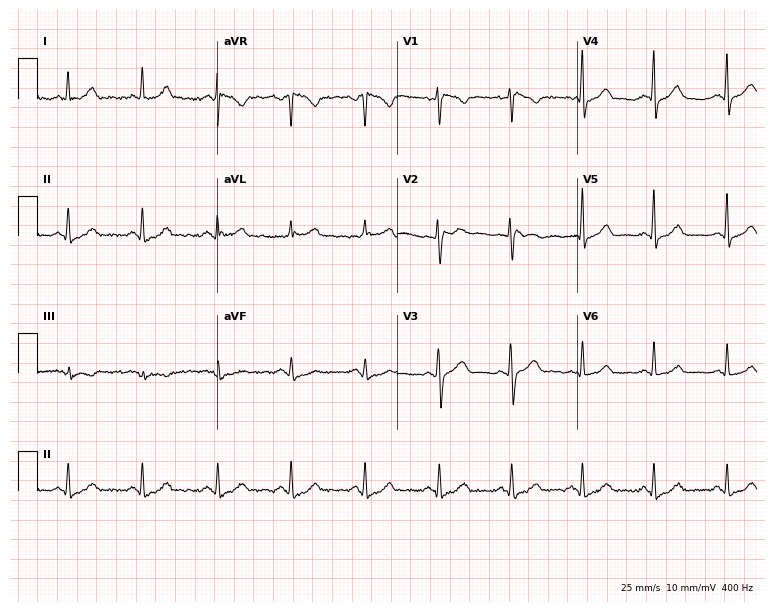
12-lead ECG from a 34-year-old woman (7.3-second recording at 400 Hz). No first-degree AV block, right bundle branch block, left bundle branch block, sinus bradycardia, atrial fibrillation or sinus tachycardia recorded for this tracing.